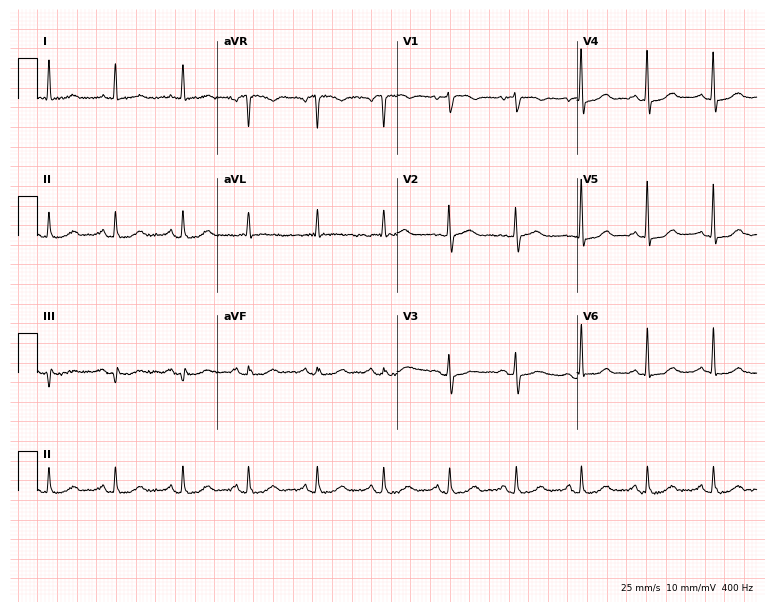
ECG — a woman, 72 years old. Labelled as a normal ECG.